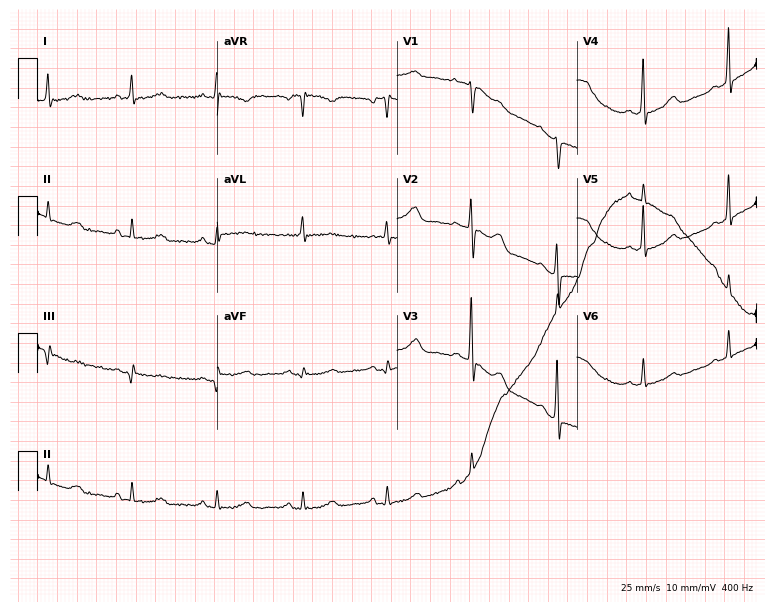
Electrocardiogram (7.3-second recording at 400 Hz), a female, 58 years old. Of the six screened findings (first-degree AV block, right bundle branch block (RBBB), left bundle branch block (LBBB), sinus bradycardia, atrial fibrillation (AF), sinus tachycardia), none is recorded.